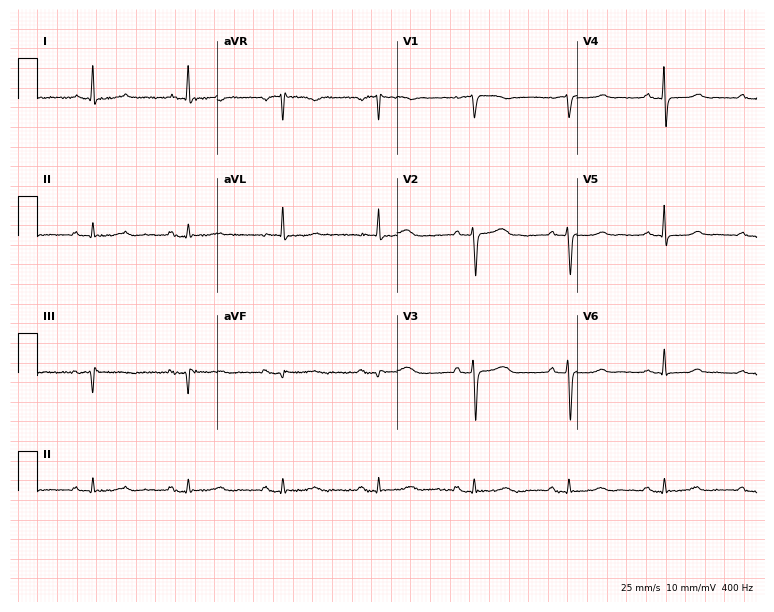
ECG — an 83-year-old female patient. Screened for six findings — first-degree AV block, right bundle branch block (RBBB), left bundle branch block (LBBB), sinus bradycardia, atrial fibrillation (AF), sinus tachycardia — none is recorded. Other findings, if any, are not listed.